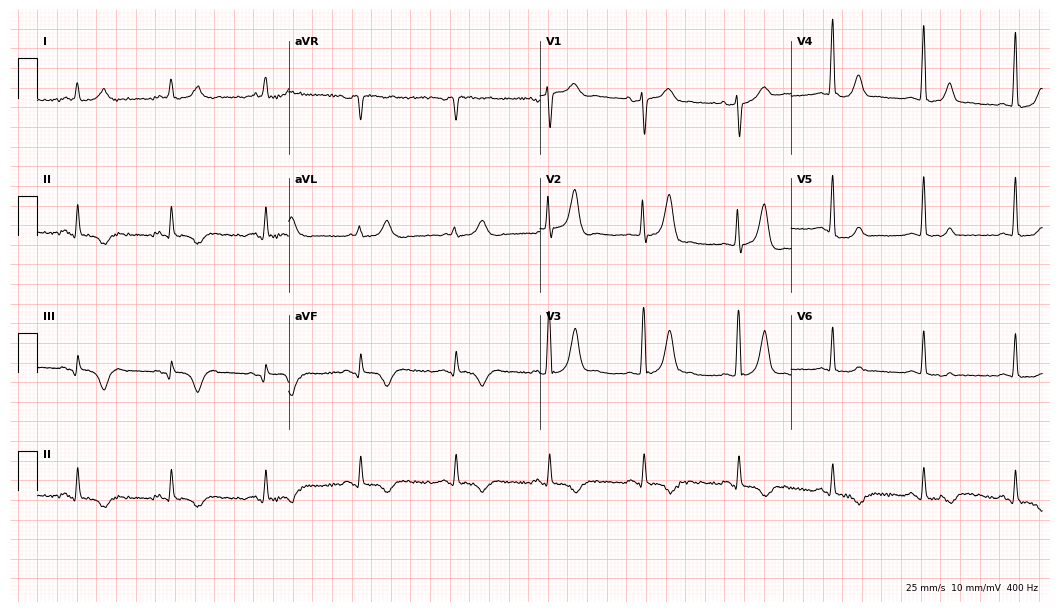
Resting 12-lead electrocardiogram. Patient: a 56-year-old male. None of these six findings is recorded: first-degree AV block, right bundle branch block, left bundle branch block, sinus bradycardia, atrial fibrillation, sinus tachycardia.